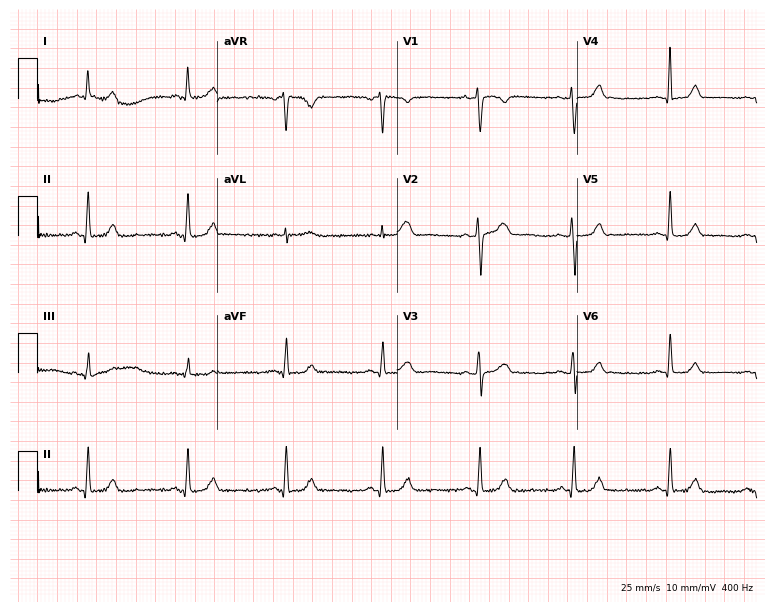
Resting 12-lead electrocardiogram. Patient: a female, 52 years old. None of these six findings is recorded: first-degree AV block, right bundle branch block (RBBB), left bundle branch block (LBBB), sinus bradycardia, atrial fibrillation (AF), sinus tachycardia. Findings outside these six are not listed.